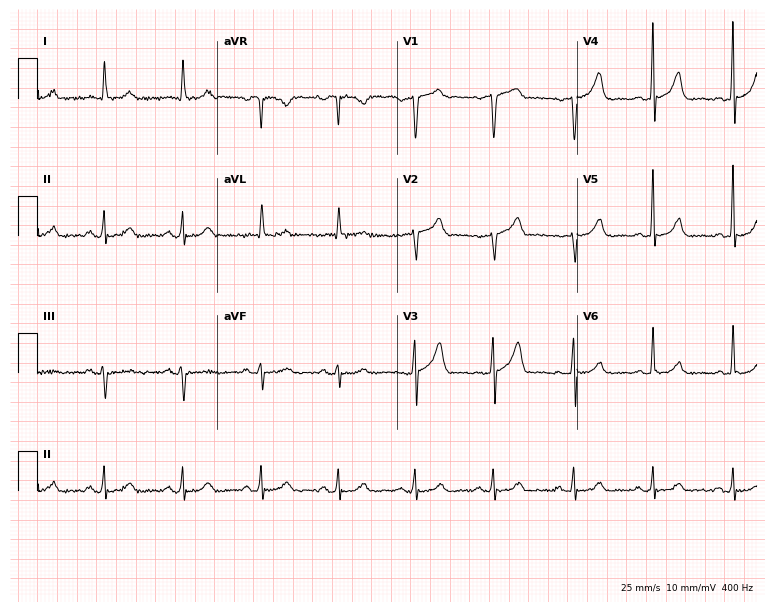
Standard 12-lead ECG recorded from a male, 75 years old. Read as a normal ECG.